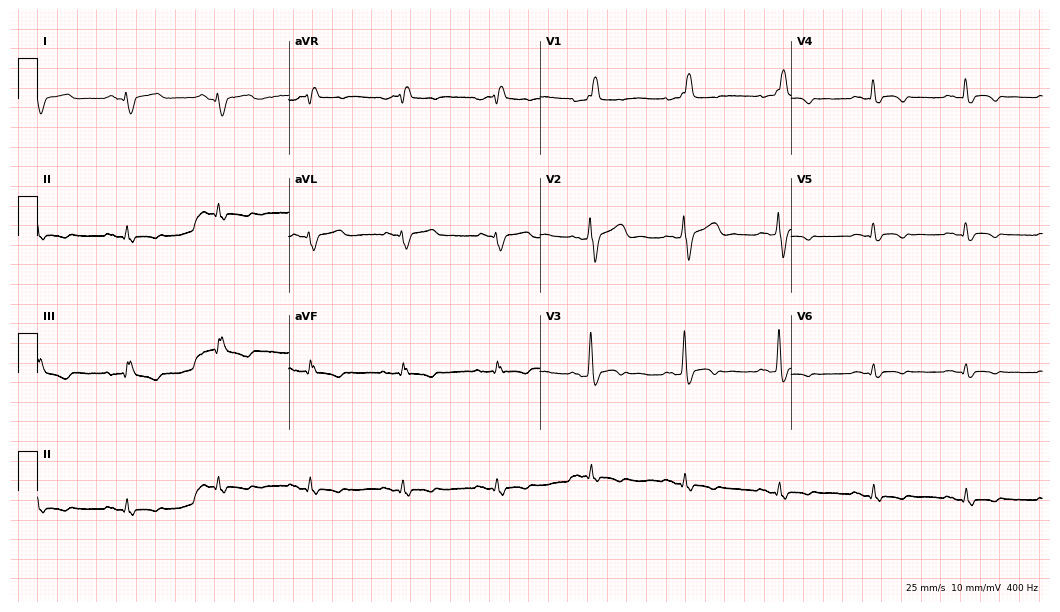
12-lead ECG (10.2-second recording at 400 Hz) from a male patient, 67 years old. Screened for six findings — first-degree AV block, right bundle branch block, left bundle branch block, sinus bradycardia, atrial fibrillation, sinus tachycardia — none is recorded. Findings outside these six are not listed.